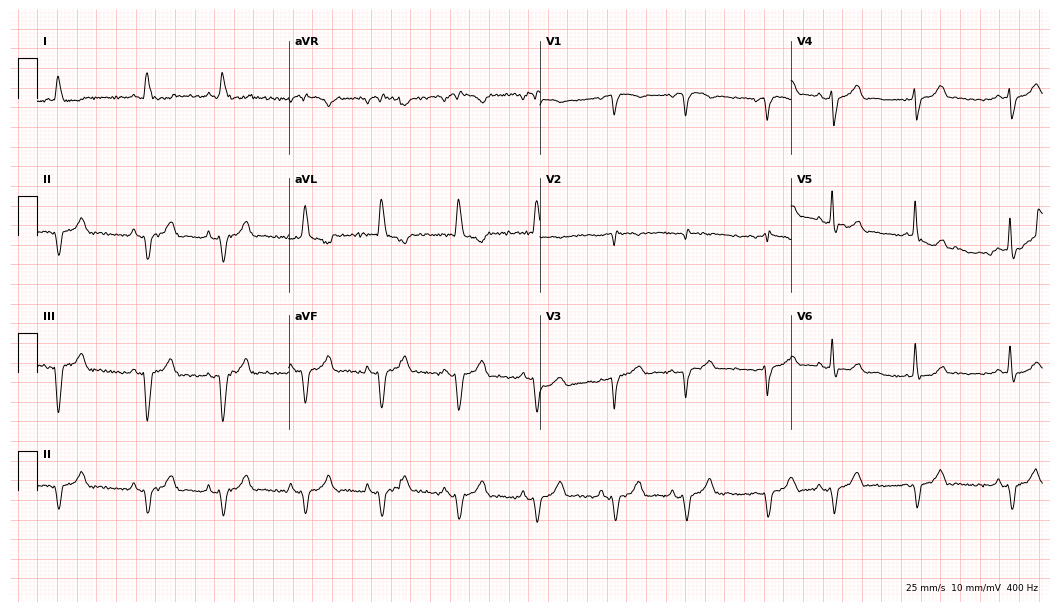
ECG — a male patient, 72 years old. Screened for six findings — first-degree AV block, right bundle branch block, left bundle branch block, sinus bradycardia, atrial fibrillation, sinus tachycardia — none is recorded.